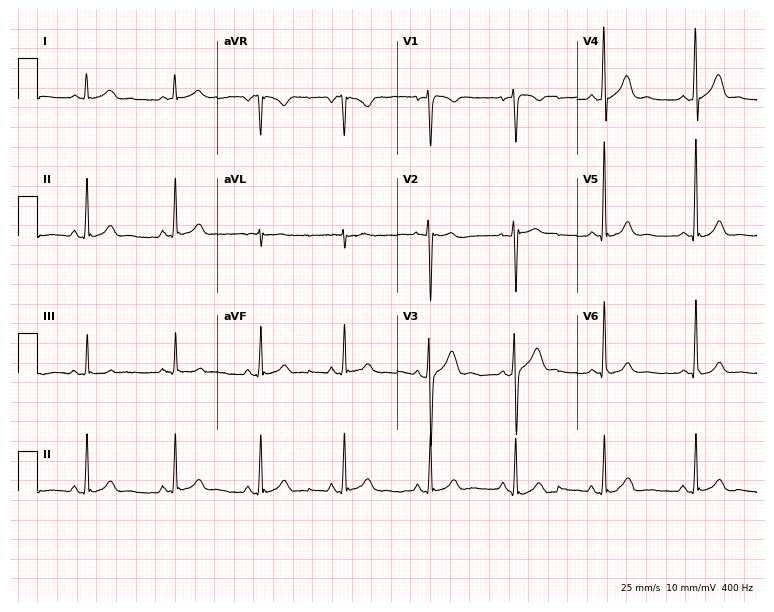
ECG — a 28-year-old male patient. Screened for six findings — first-degree AV block, right bundle branch block (RBBB), left bundle branch block (LBBB), sinus bradycardia, atrial fibrillation (AF), sinus tachycardia — none is recorded.